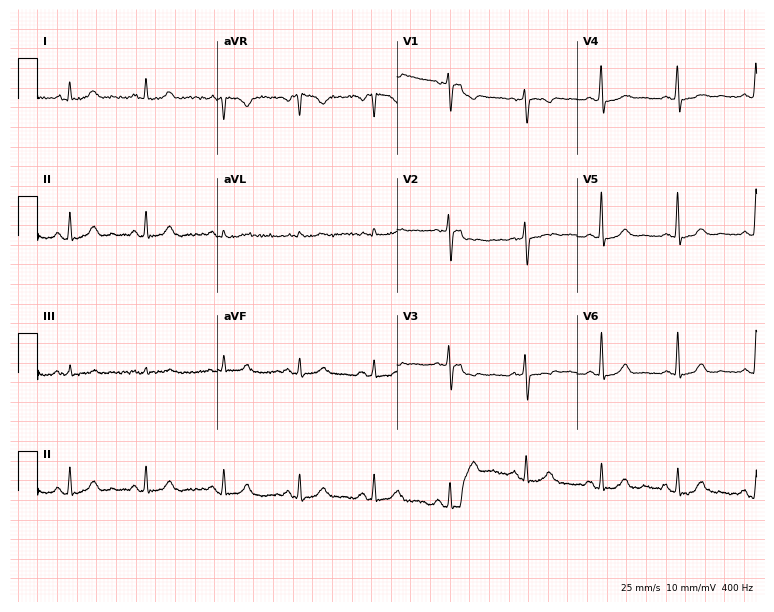
Resting 12-lead electrocardiogram (7.3-second recording at 400 Hz). Patient: a 47-year-old female. None of these six findings is recorded: first-degree AV block, right bundle branch block (RBBB), left bundle branch block (LBBB), sinus bradycardia, atrial fibrillation (AF), sinus tachycardia.